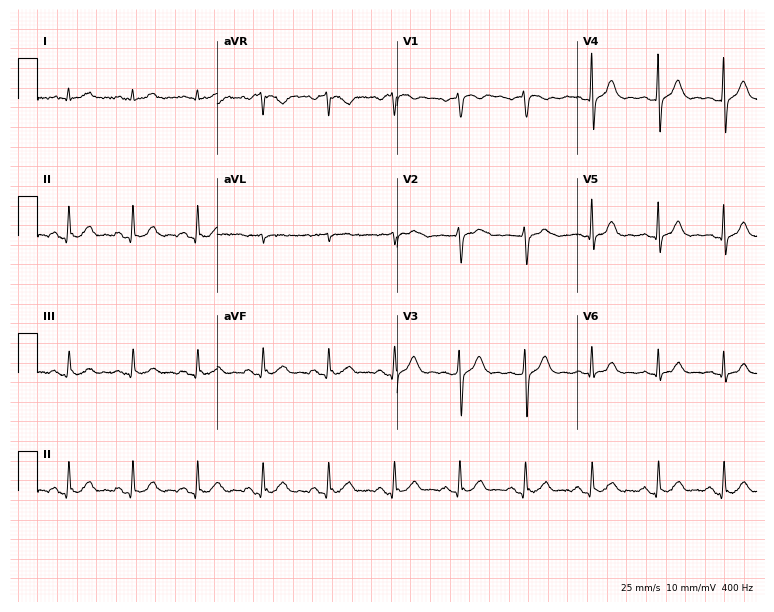
12-lead ECG from a 78-year-old man (7.3-second recording at 400 Hz). Recorded interpretation: within normal limits.